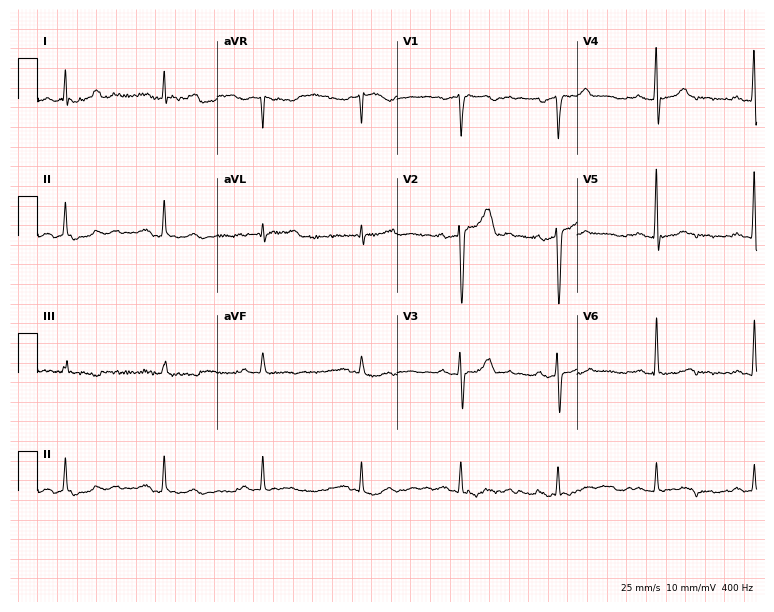
12-lead ECG from a 57-year-old male patient. Labelled as a normal ECG.